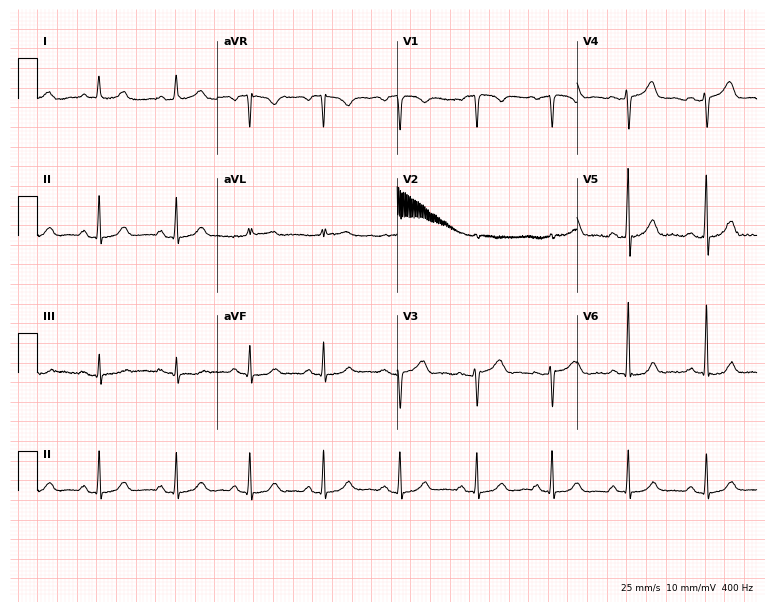
Standard 12-lead ECG recorded from a 49-year-old female. None of these six findings is recorded: first-degree AV block, right bundle branch block (RBBB), left bundle branch block (LBBB), sinus bradycardia, atrial fibrillation (AF), sinus tachycardia. Other findings, if any, are not listed.